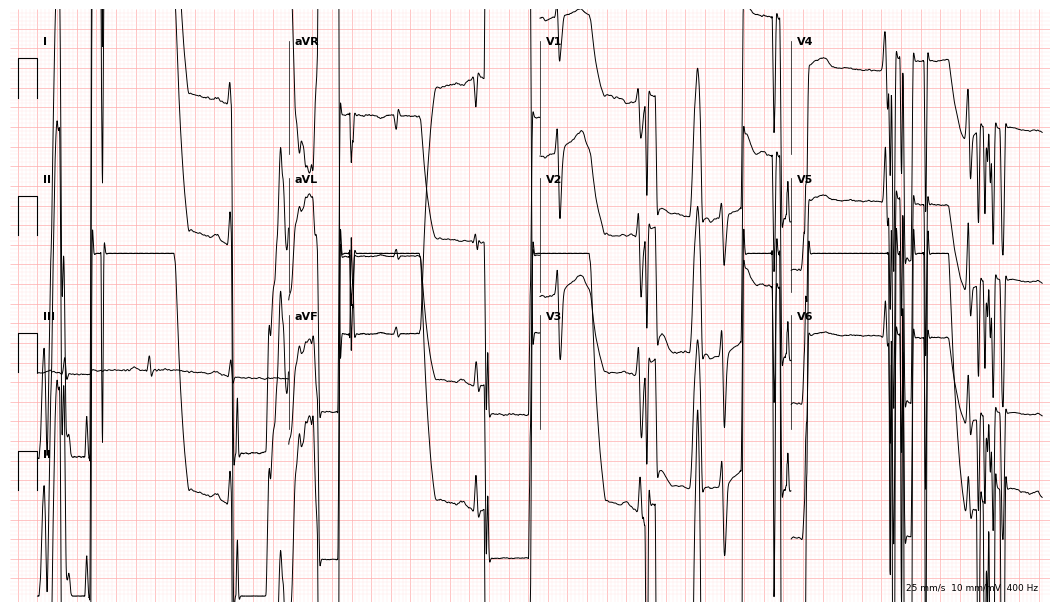
12-lead ECG from a male patient, 22 years old (10.2-second recording at 400 Hz). No first-degree AV block, right bundle branch block, left bundle branch block, sinus bradycardia, atrial fibrillation or sinus tachycardia recorded for this tracing. Findings outside these six are not listed.